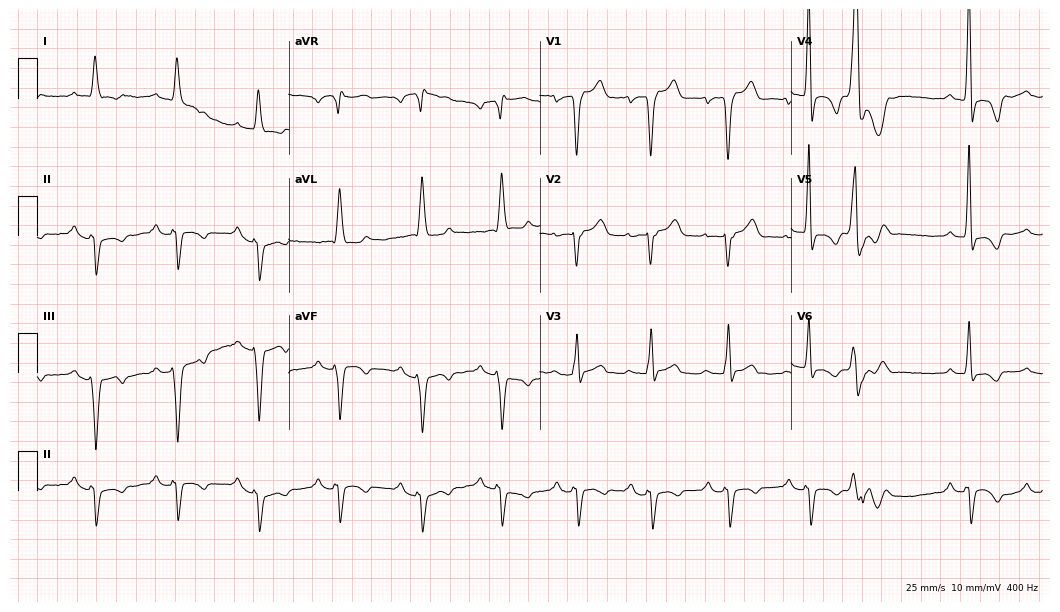
Resting 12-lead electrocardiogram (10.2-second recording at 400 Hz). Patient: a male, 78 years old. The tracing shows first-degree AV block, left bundle branch block.